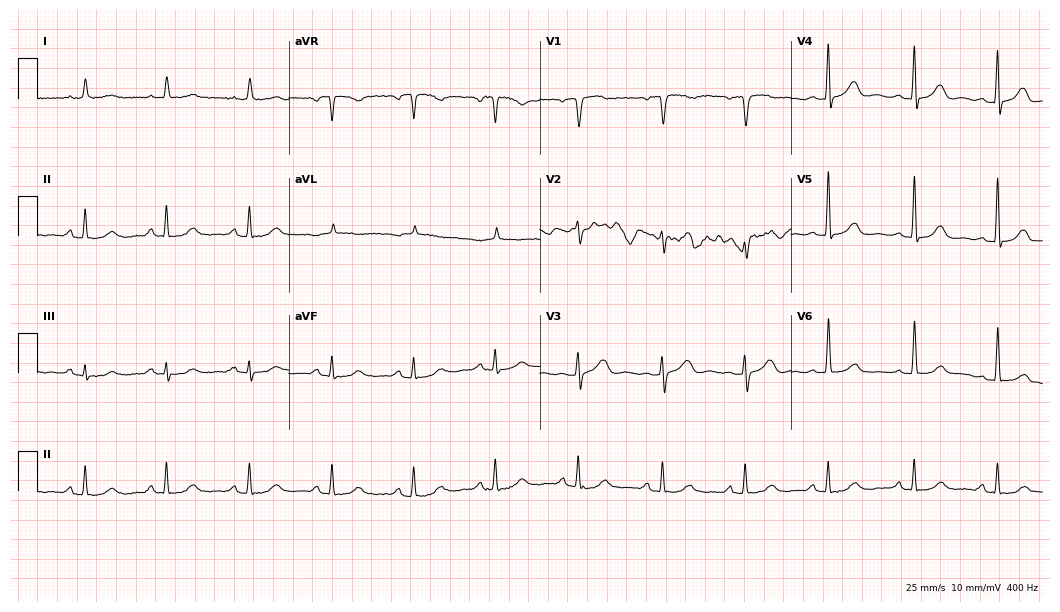
Standard 12-lead ECG recorded from an 83-year-old man. Read as a normal ECG.